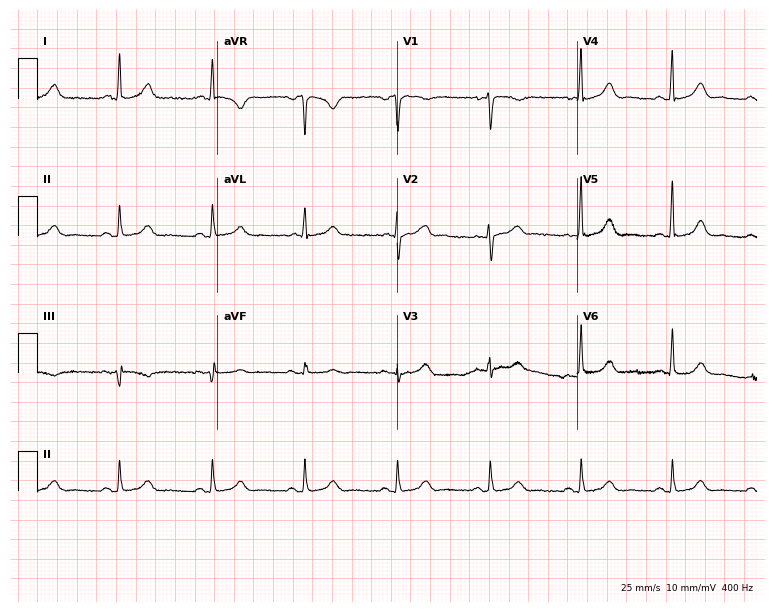
12-lead ECG from a female, 66 years old. Screened for six findings — first-degree AV block, right bundle branch block, left bundle branch block, sinus bradycardia, atrial fibrillation, sinus tachycardia — none is recorded. Findings outside these six are not listed.